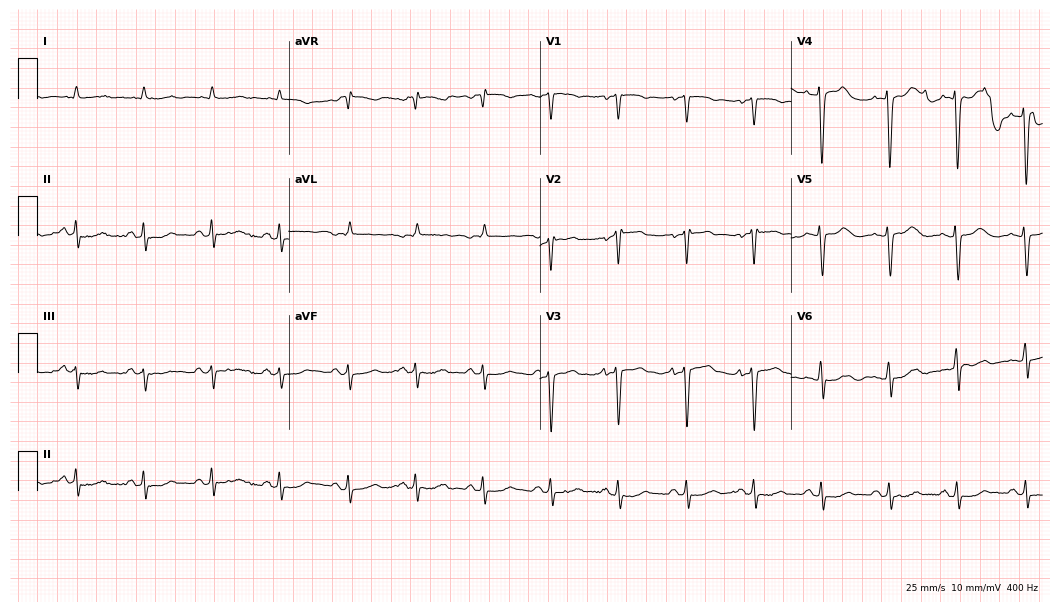
12-lead ECG from a 66-year-old male patient. Screened for six findings — first-degree AV block, right bundle branch block, left bundle branch block, sinus bradycardia, atrial fibrillation, sinus tachycardia — none is recorded.